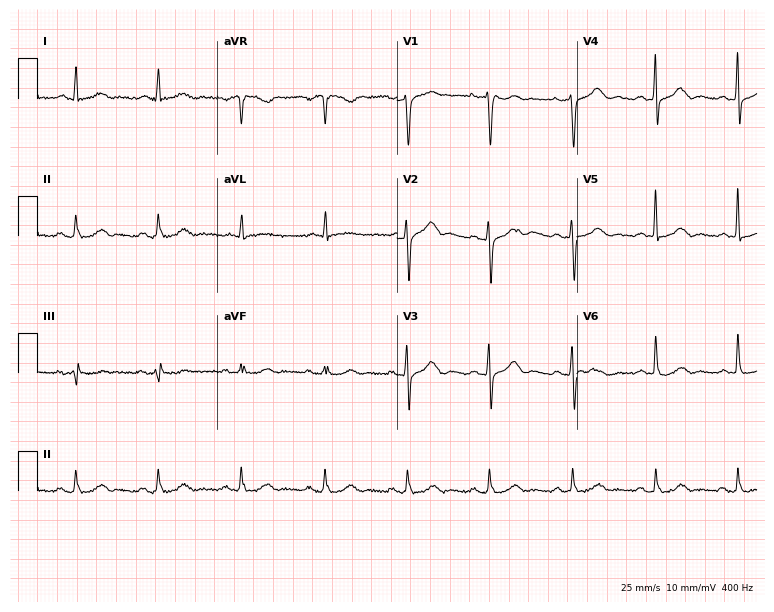
Electrocardiogram, a male, 68 years old. Of the six screened findings (first-degree AV block, right bundle branch block, left bundle branch block, sinus bradycardia, atrial fibrillation, sinus tachycardia), none is recorded.